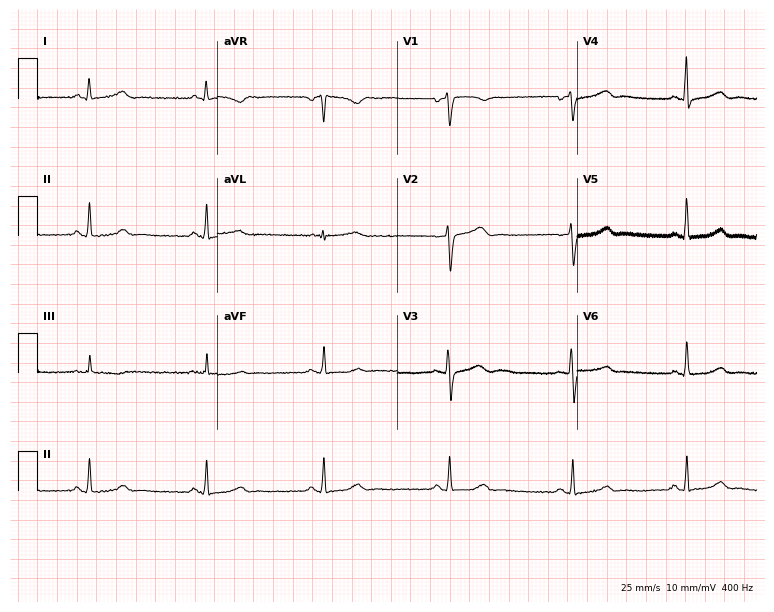
Standard 12-lead ECG recorded from a female patient, 52 years old. Read as a normal ECG.